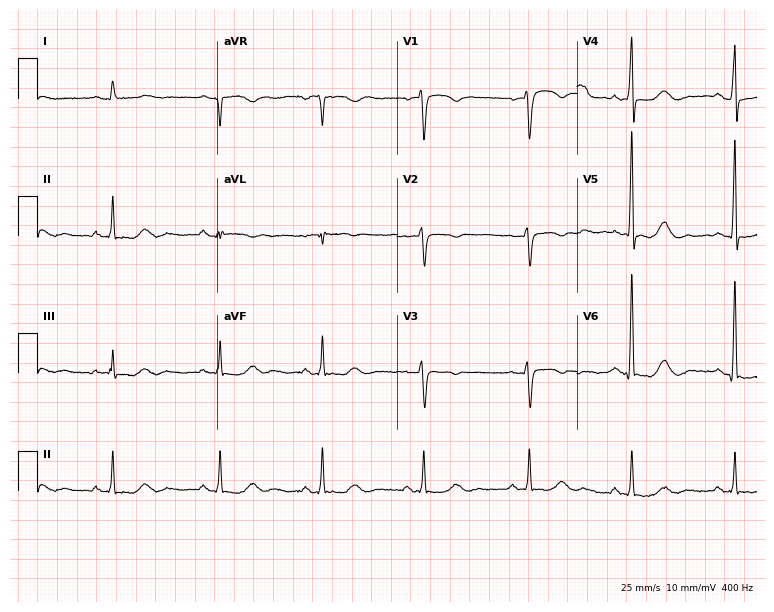
12-lead ECG from a female patient, 67 years old. No first-degree AV block, right bundle branch block, left bundle branch block, sinus bradycardia, atrial fibrillation or sinus tachycardia recorded for this tracing.